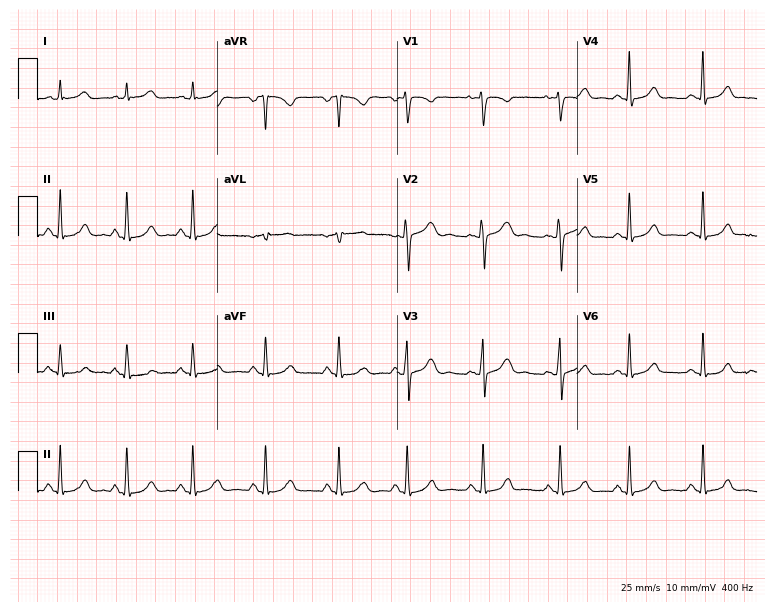
Resting 12-lead electrocardiogram (7.3-second recording at 400 Hz). Patient: a 22-year-old female. Read as a normal ECG.